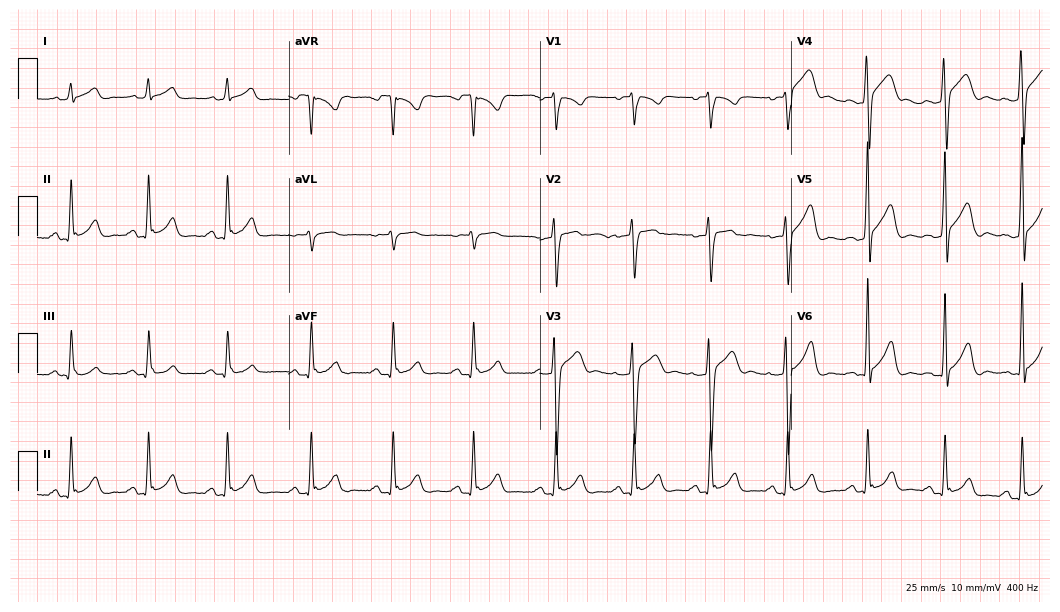
Resting 12-lead electrocardiogram. Patient: a 30-year-old man. None of these six findings is recorded: first-degree AV block, right bundle branch block, left bundle branch block, sinus bradycardia, atrial fibrillation, sinus tachycardia. Only these six findings were labelled.